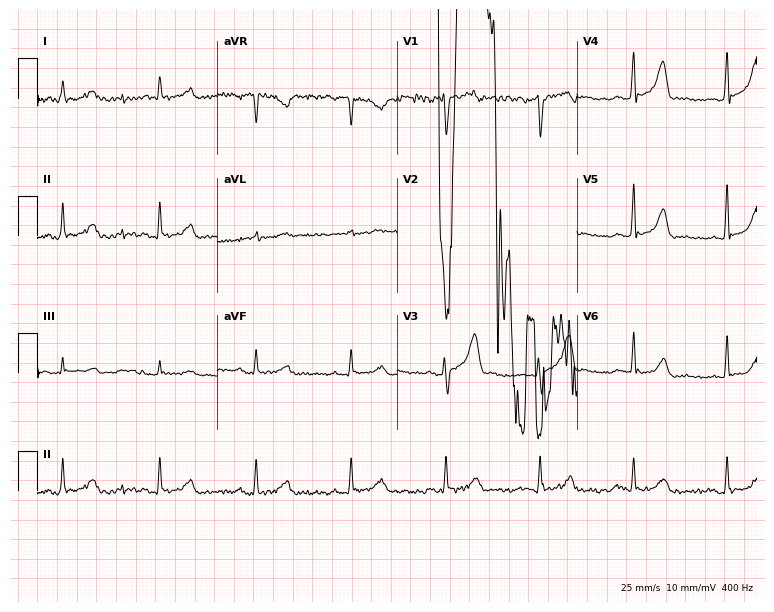
Standard 12-lead ECG recorded from a male, 45 years old (7.3-second recording at 400 Hz). None of these six findings is recorded: first-degree AV block, right bundle branch block, left bundle branch block, sinus bradycardia, atrial fibrillation, sinus tachycardia. Only these six findings were labelled.